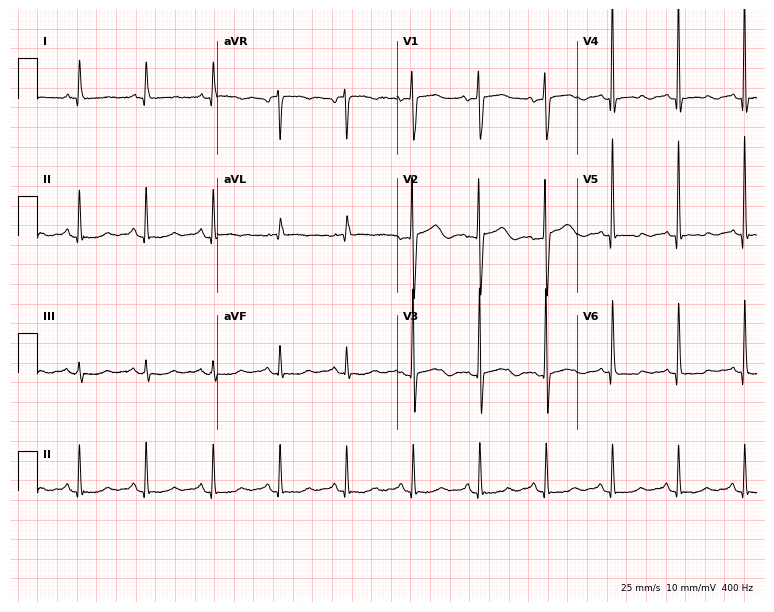
Electrocardiogram (7.3-second recording at 400 Hz), a woman, 75 years old. Of the six screened findings (first-degree AV block, right bundle branch block, left bundle branch block, sinus bradycardia, atrial fibrillation, sinus tachycardia), none is recorded. Only these six findings were labelled.